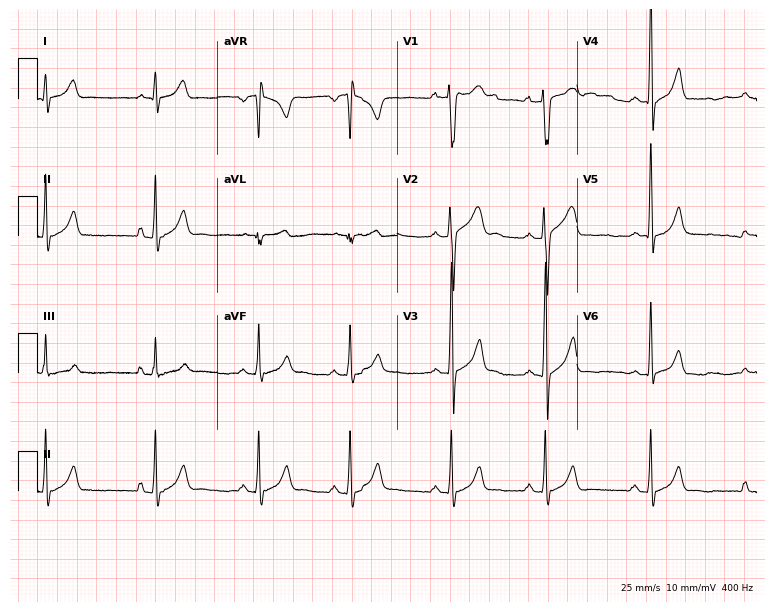
Electrocardiogram, a male, 17 years old. Overall reading on record: normal ECG.